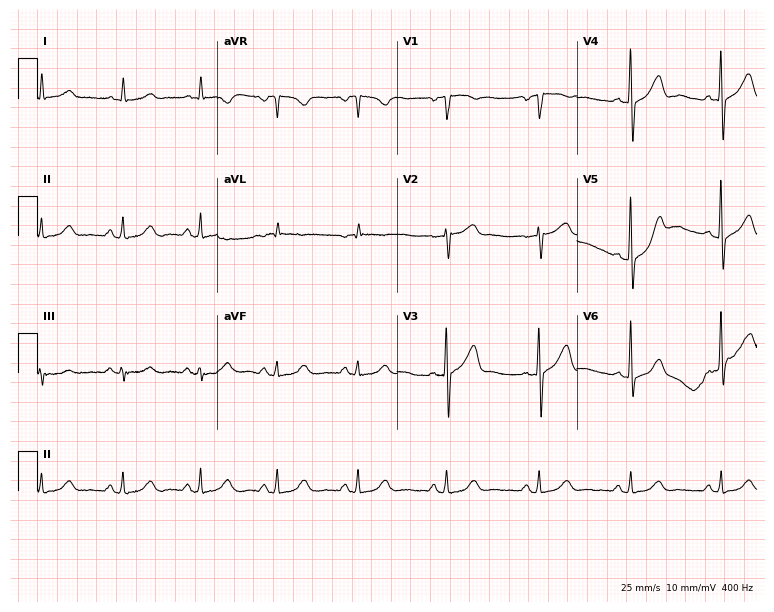
Standard 12-lead ECG recorded from a female, 57 years old (7.3-second recording at 400 Hz). None of these six findings is recorded: first-degree AV block, right bundle branch block (RBBB), left bundle branch block (LBBB), sinus bradycardia, atrial fibrillation (AF), sinus tachycardia. Findings outside these six are not listed.